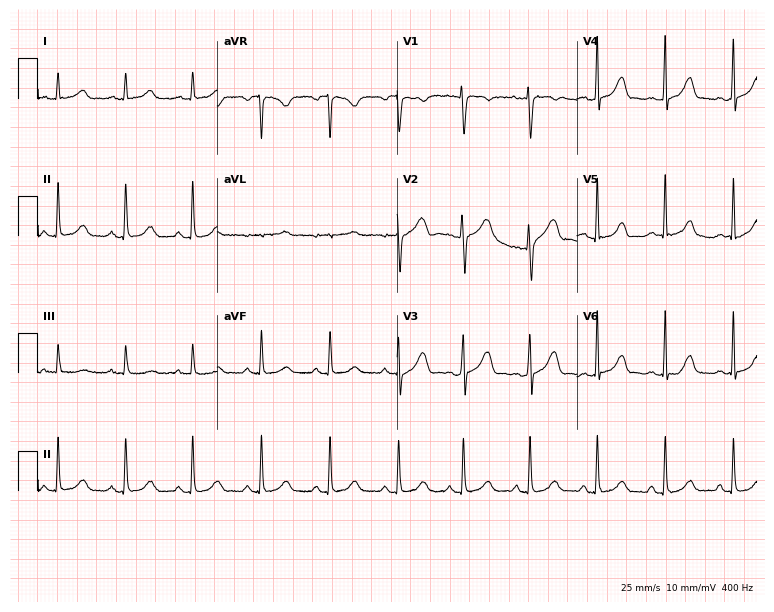
ECG — a woman, 24 years old. Labelled as a normal ECG.